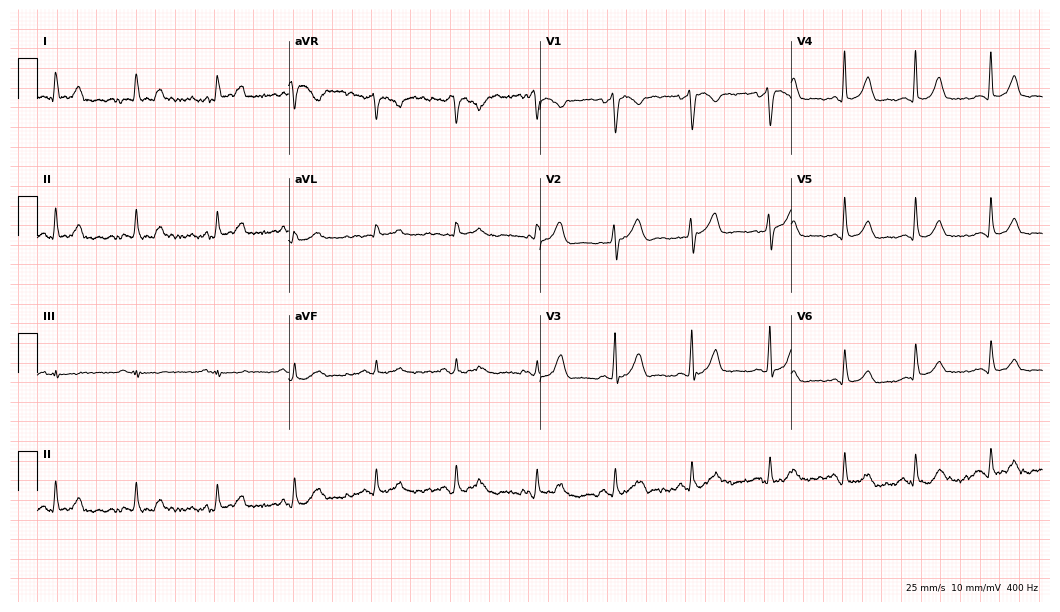
ECG (10.2-second recording at 400 Hz) — a female, 38 years old. Screened for six findings — first-degree AV block, right bundle branch block, left bundle branch block, sinus bradycardia, atrial fibrillation, sinus tachycardia — none is recorded.